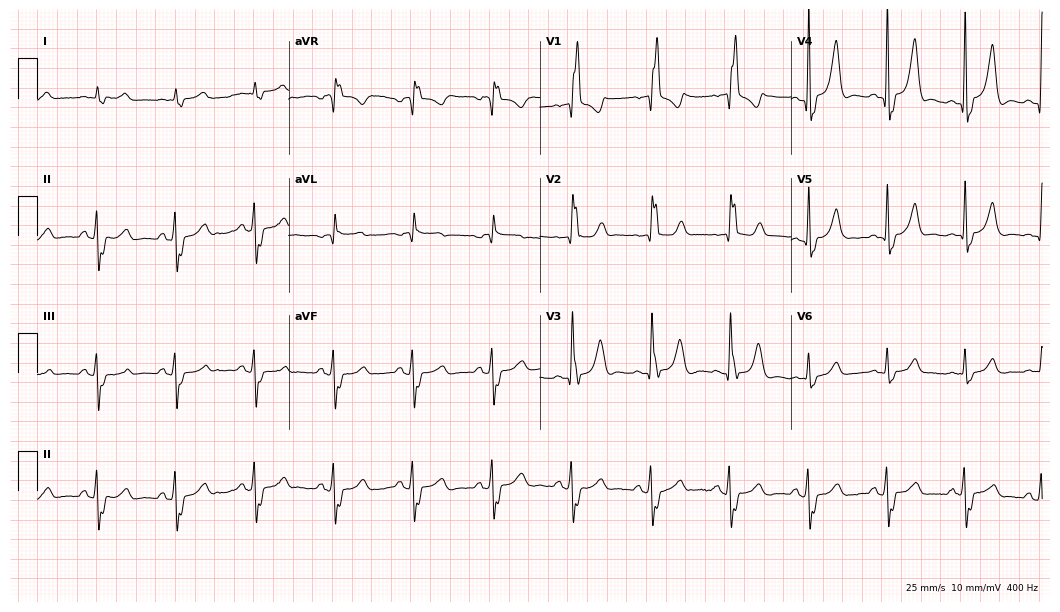
Resting 12-lead electrocardiogram. Patient: a man, 73 years old. The tracing shows right bundle branch block.